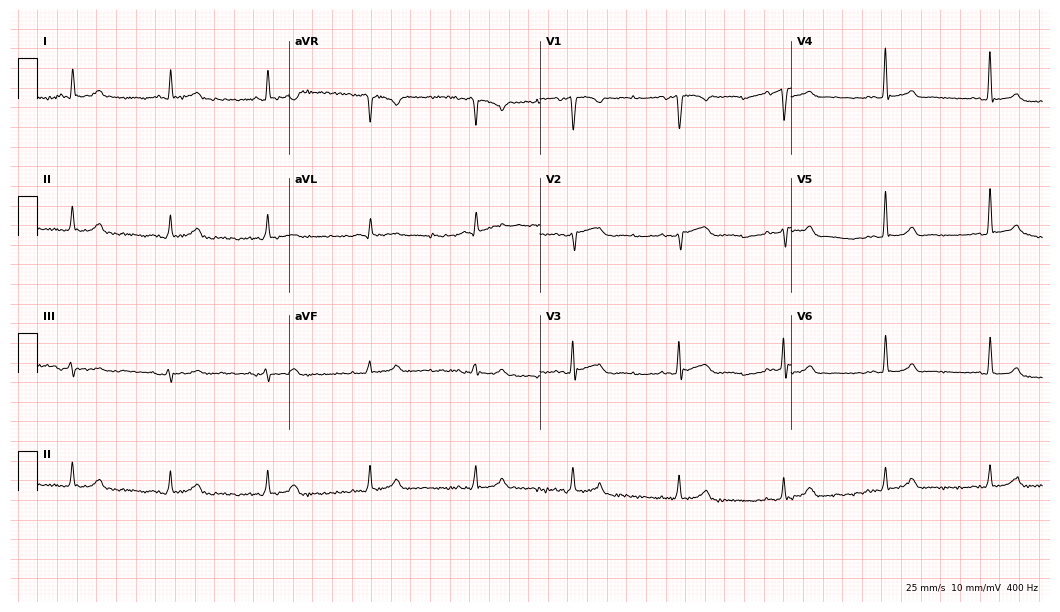
Electrocardiogram, a 68-year-old male. Overall reading on record: normal ECG.